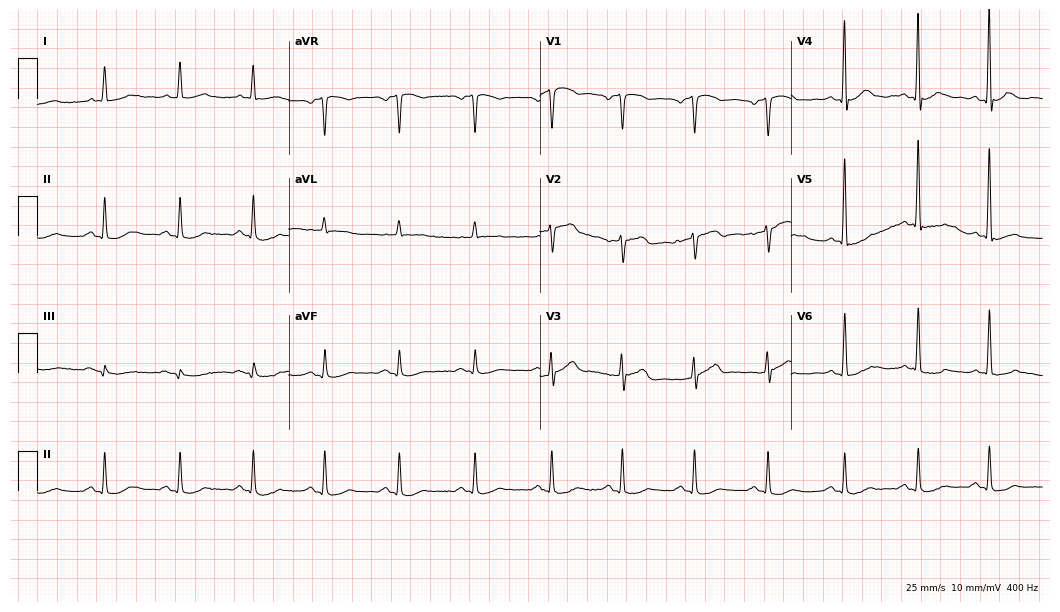
ECG (10.2-second recording at 400 Hz) — a 79-year-old man. Screened for six findings — first-degree AV block, right bundle branch block, left bundle branch block, sinus bradycardia, atrial fibrillation, sinus tachycardia — none is recorded. Other findings, if any, are not listed.